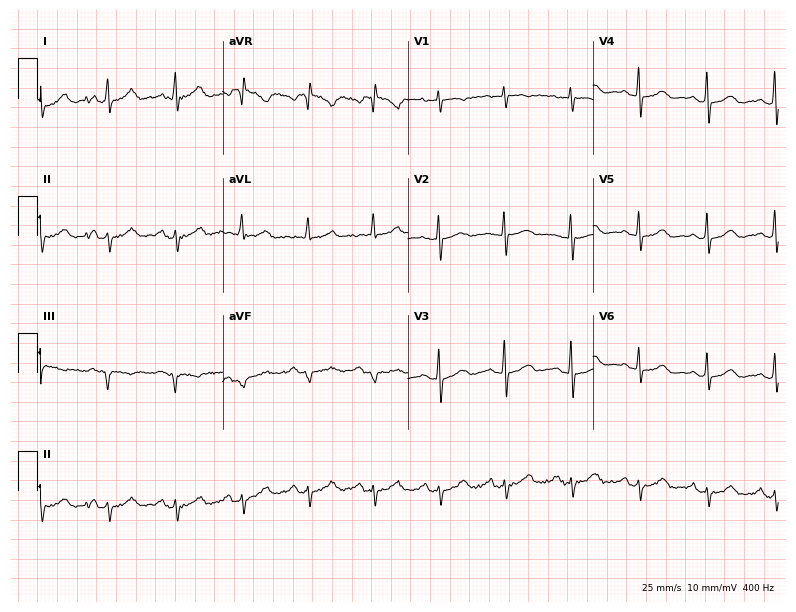
12-lead ECG (7.6-second recording at 400 Hz) from a woman, 73 years old. Screened for six findings — first-degree AV block, right bundle branch block, left bundle branch block, sinus bradycardia, atrial fibrillation, sinus tachycardia — none is recorded. Only these six findings were labelled.